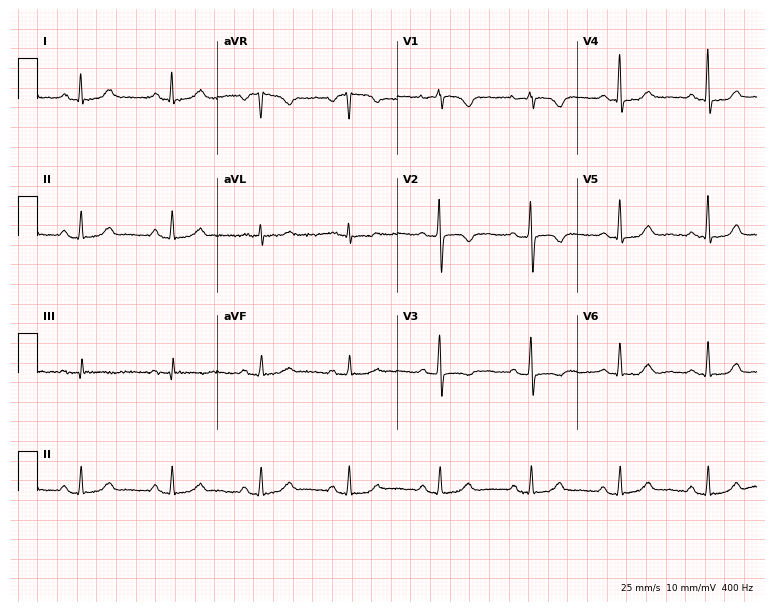
12-lead ECG (7.3-second recording at 400 Hz) from a 53-year-old woman. Screened for six findings — first-degree AV block, right bundle branch block, left bundle branch block, sinus bradycardia, atrial fibrillation, sinus tachycardia — none is recorded.